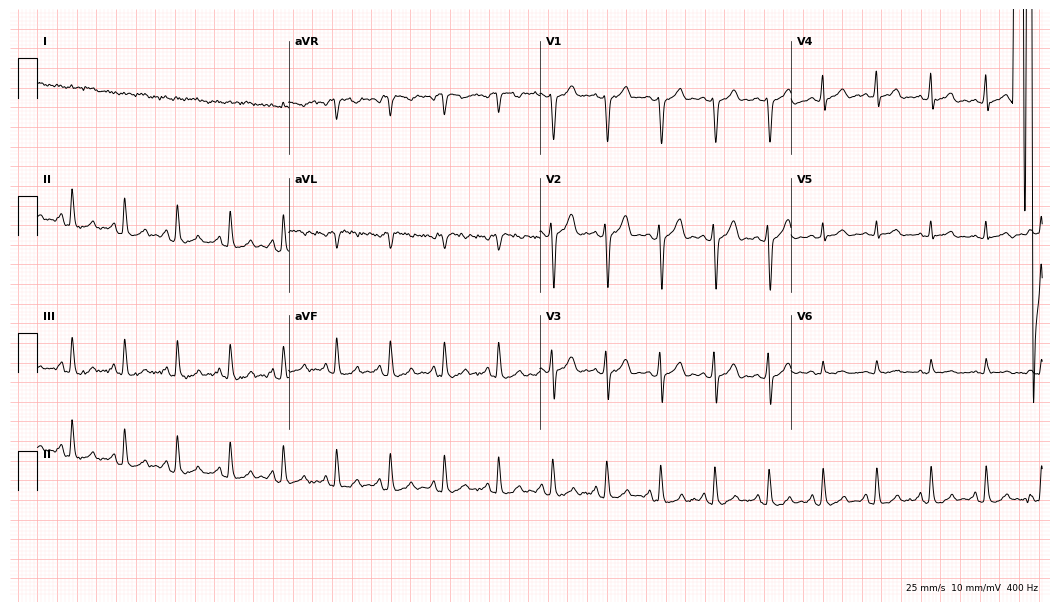
12-lead ECG (10.2-second recording at 400 Hz) from a 45-year-old male patient. Findings include sinus tachycardia (a sinus rate of 100 beats per minute or more).